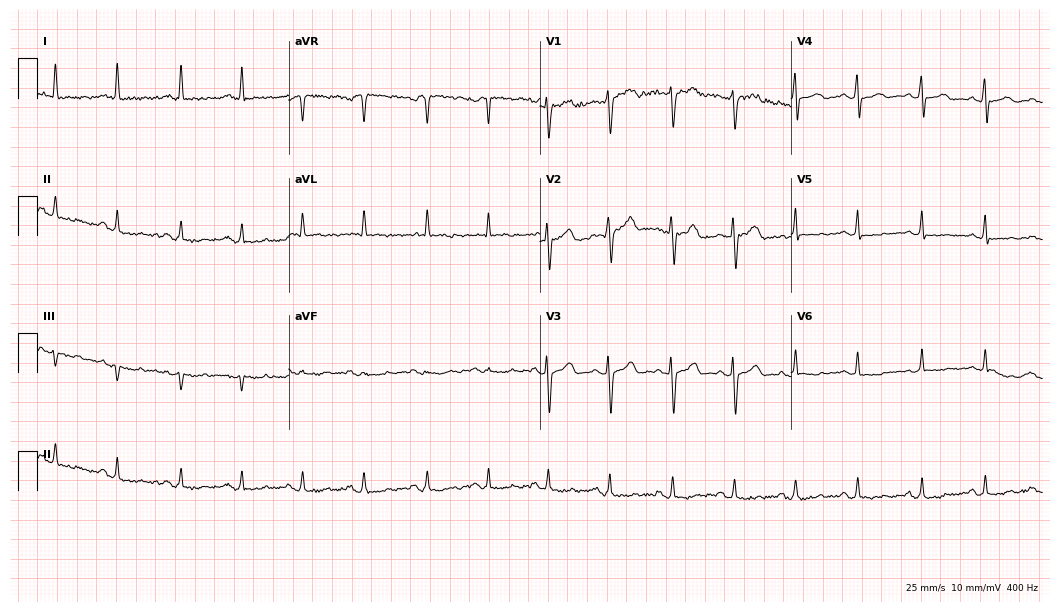
Resting 12-lead electrocardiogram (10.2-second recording at 400 Hz). Patient: a female, 80 years old. None of these six findings is recorded: first-degree AV block, right bundle branch block, left bundle branch block, sinus bradycardia, atrial fibrillation, sinus tachycardia.